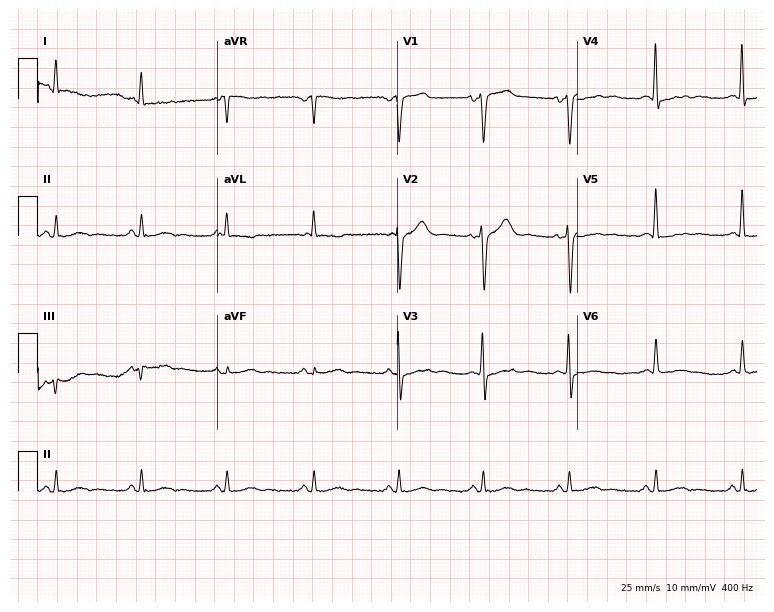
Resting 12-lead electrocardiogram. Patient: a 53-year-old man. None of these six findings is recorded: first-degree AV block, right bundle branch block (RBBB), left bundle branch block (LBBB), sinus bradycardia, atrial fibrillation (AF), sinus tachycardia.